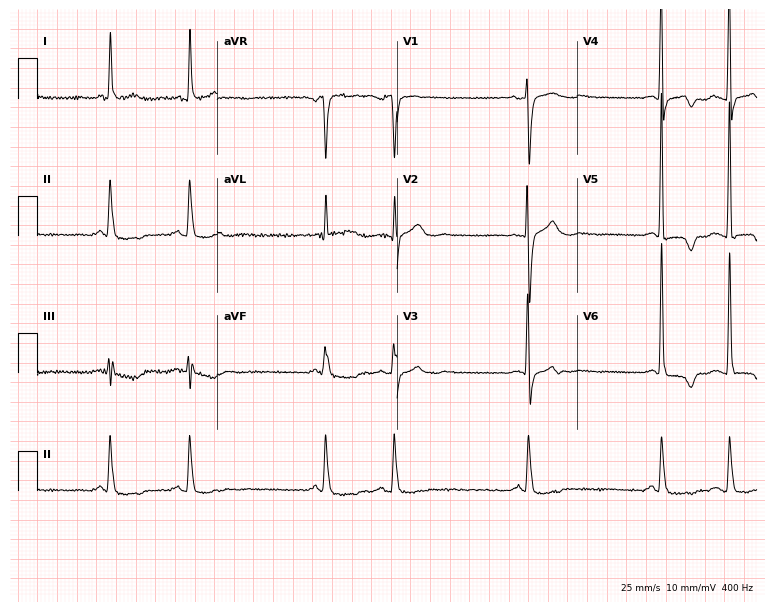
12-lead ECG from a woman, 70 years old. No first-degree AV block, right bundle branch block (RBBB), left bundle branch block (LBBB), sinus bradycardia, atrial fibrillation (AF) or sinus tachycardia recorded for this tracing.